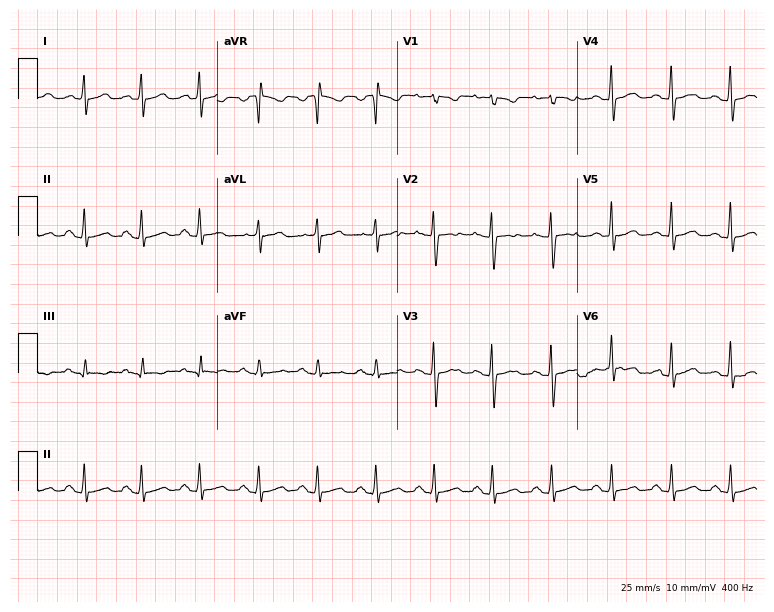
Electrocardiogram, a 30-year-old female. Overall reading on record: normal ECG.